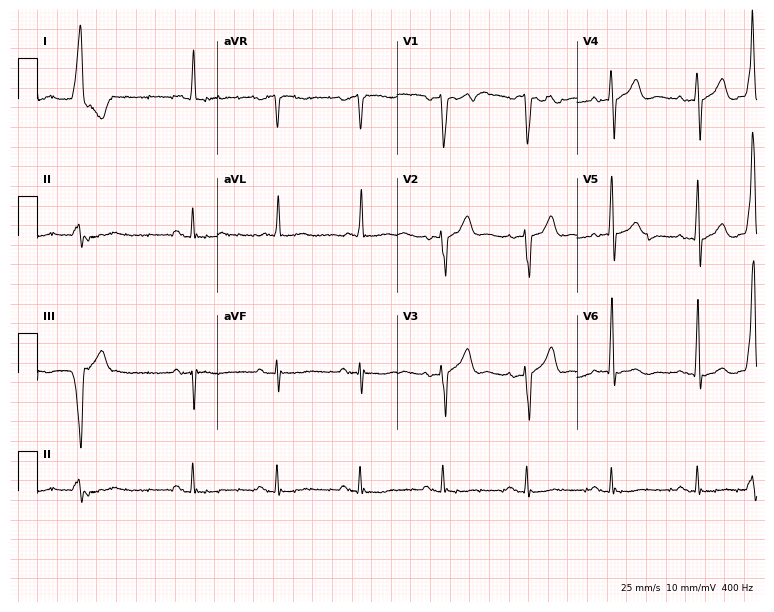
12-lead ECG from an 80-year-old male patient (7.3-second recording at 400 Hz). No first-degree AV block, right bundle branch block (RBBB), left bundle branch block (LBBB), sinus bradycardia, atrial fibrillation (AF) or sinus tachycardia recorded for this tracing.